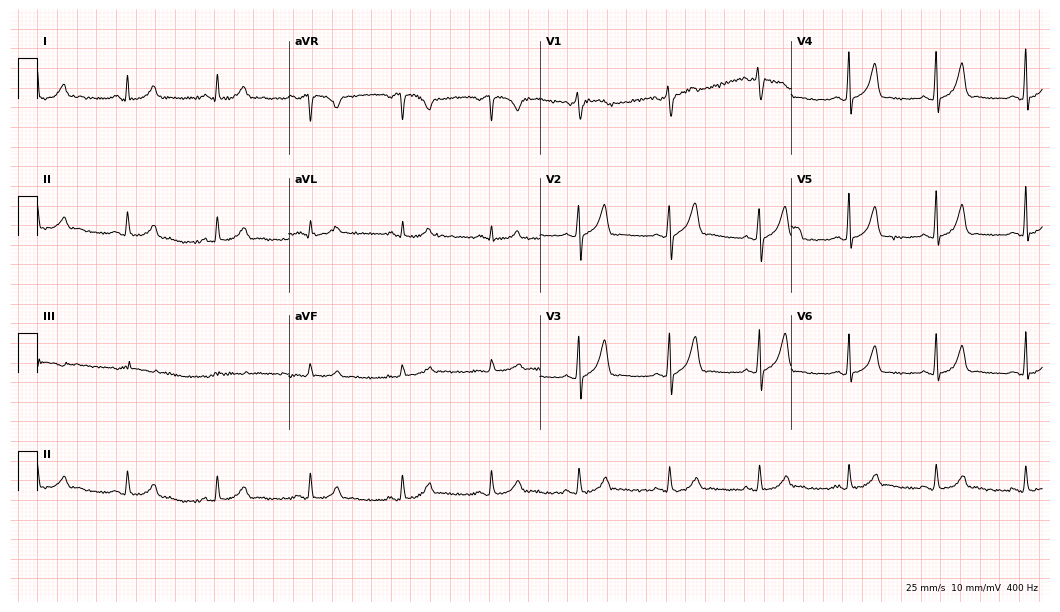
Resting 12-lead electrocardiogram (10.2-second recording at 400 Hz). Patient: a female, 47 years old. None of these six findings is recorded: first-degree AV block, right bundle branch block, left bundle branch block, sinus bradycardia, atrial fibrillation, sinus tachycardia. Other findings, if any, are not listed.